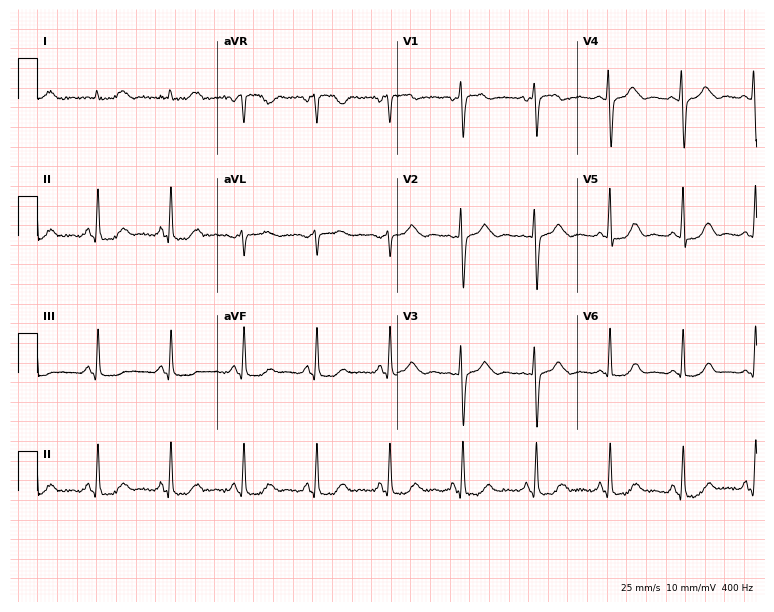
Standard 12-lead ECG recorded from a 49-year-old woman. None of these six findings is recorded: first-degree AV block, right bundle branch block, left bundle branch block, sinus bradycardia, atrial fibrillation, sinus tachycardia. Only these six findings were labelled.